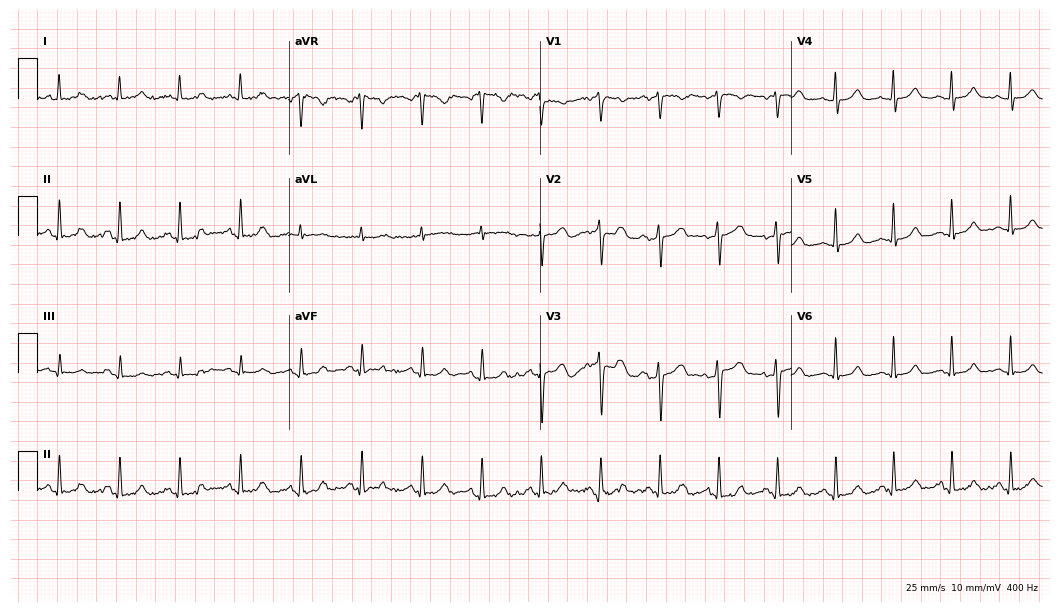
12-lead ECG from a 50-year-old woman. Labelled as a normal ECG.